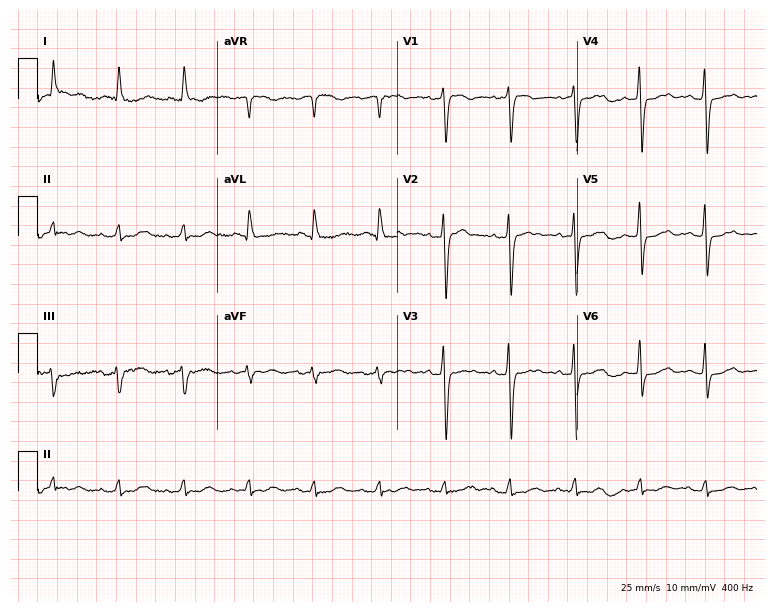
12-lead ECG from a female patient, 72 years old (7.3-second recording at 400 Hz). No first-degree AV block, right bundle branch block, left bundle branch block, sinus bradycardia, atrial fibrillation or sinus tachycardia recorded for this tracing.